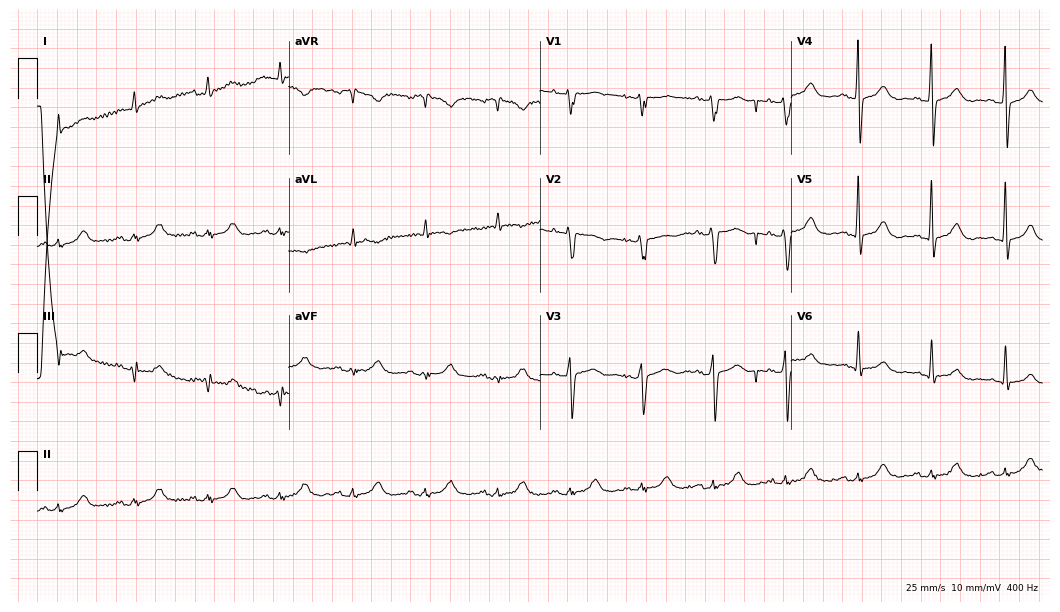
Electrocardiogram, a 67-year-old male patient. Of the six screened findings (first-degree AV block, right bundle branch block, left bundle branch block, sinus bradycardia, atrial fibrillation, sinus tachycardia), none is recorded. Other findings, if any, are not listed.